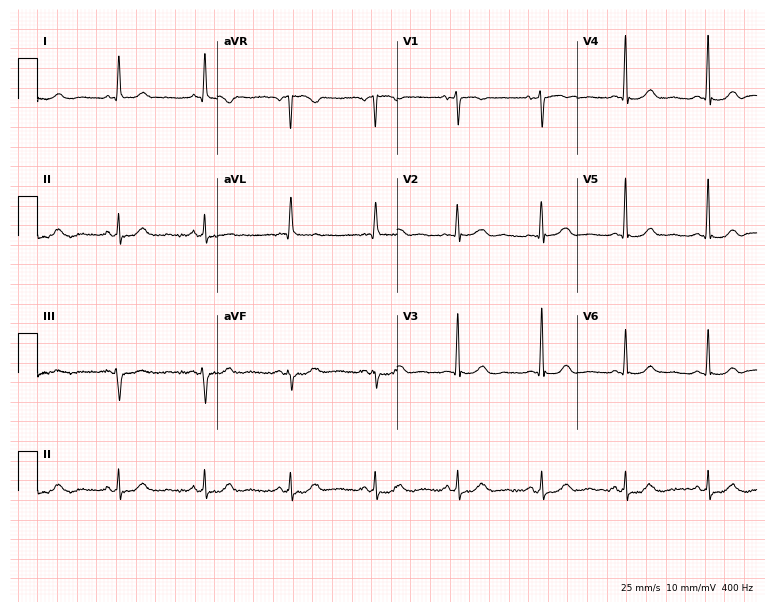
Standard 12-lead ECG recorded from a 55-year-old woman. Read as a normal ECG.